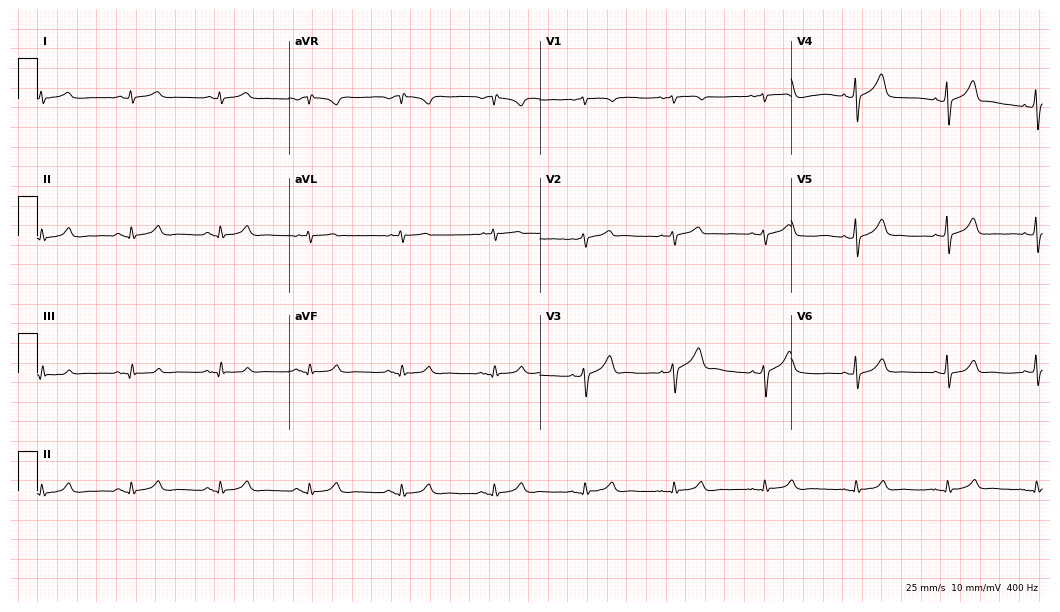
Electrocardiogram, a 51-year-old man. Overall reading on record: normal ECG.